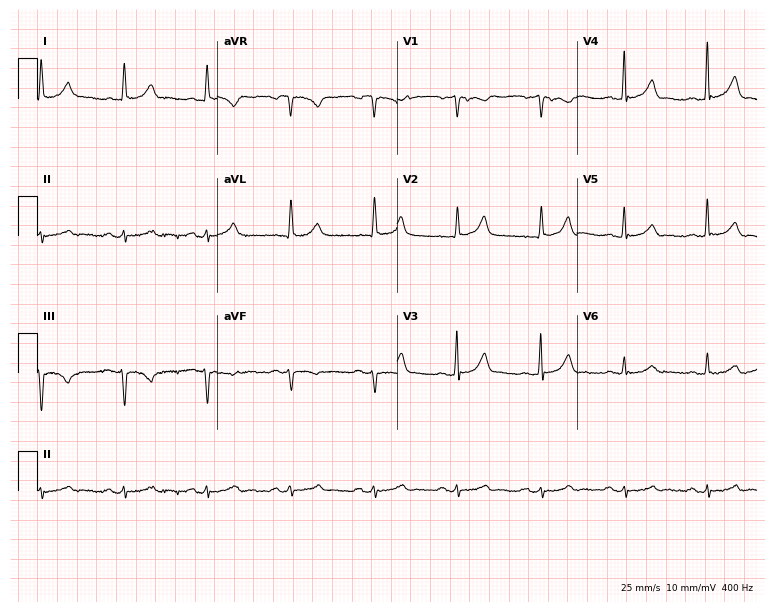
12-lead ECG from a male, 70 years old (7.3-second recording at 400 Hz). Recorded interpretation: within normal limits.